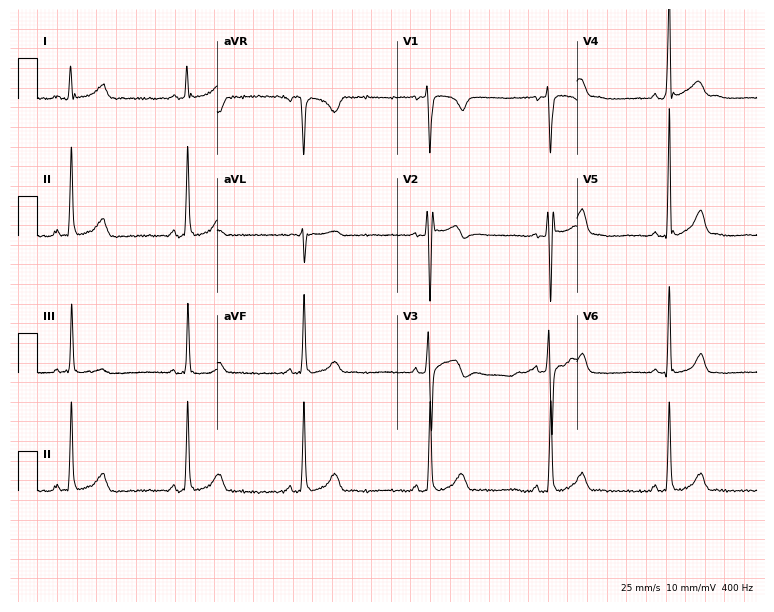
Resting 12-lead electrocardiogram. Patient: a 17-year-old man. None of these six findings is recorded: first-degree AV block, right bundle branch block (RBBB), left bundle branch block (LBBB), sinus bradycardia, atrial fibrillation (AF), sinus tachycardia.